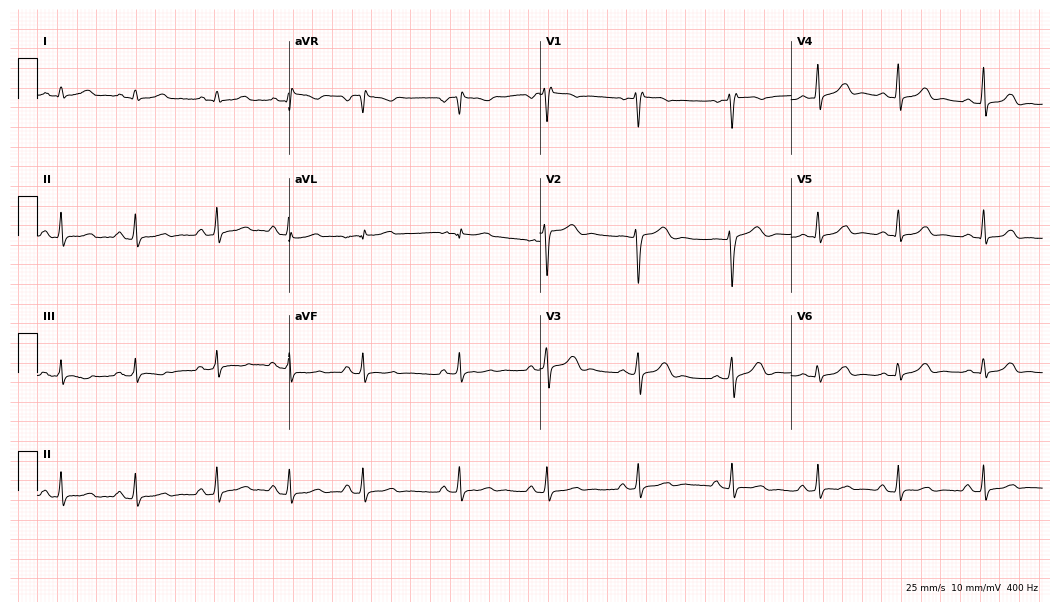
ECG (10.2-second recording at 400 Hz) — a 25-year-old female. Labelled as a normal ECG.